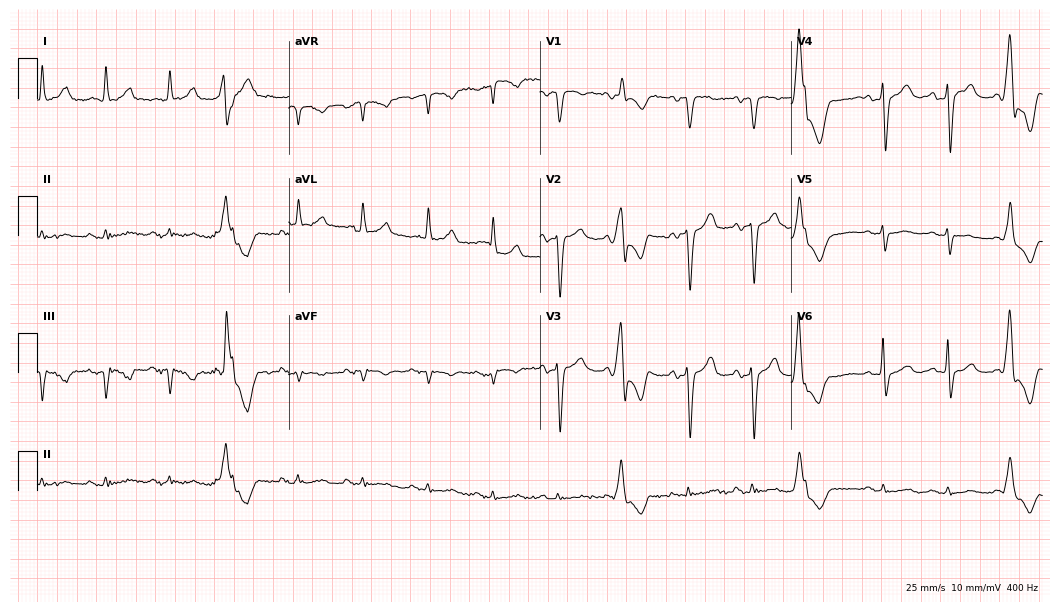
Resting 12-lead electrocardiogram. Patient: a male, 84 years old. Read as a normal ECG.